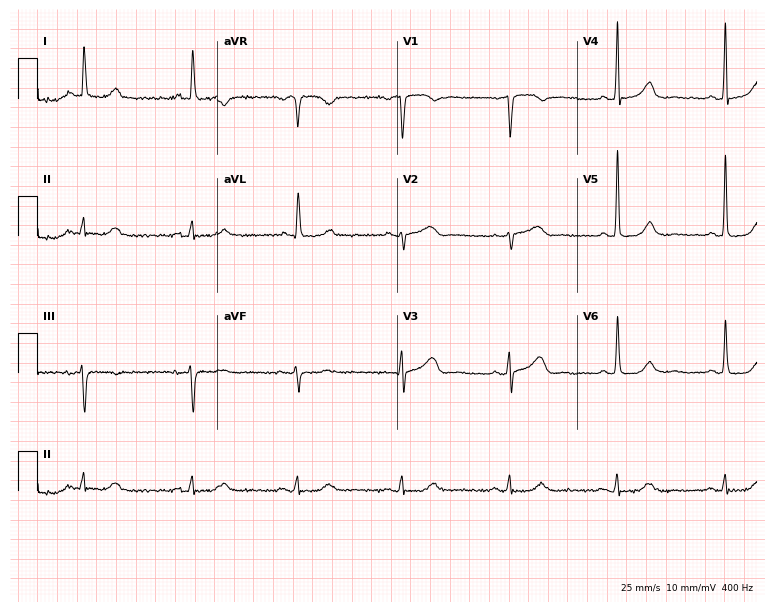
12-lead ECG (7.3-second recording at 400 Hz) from a man, 85 years old. Screened for six findings — first-degree AV block, right bundle branch block, left bundle branch block, sinus bradycardia, atrial fibrillation, sinus tachycardia — none is recorded. Other findings, if any, are not listed.